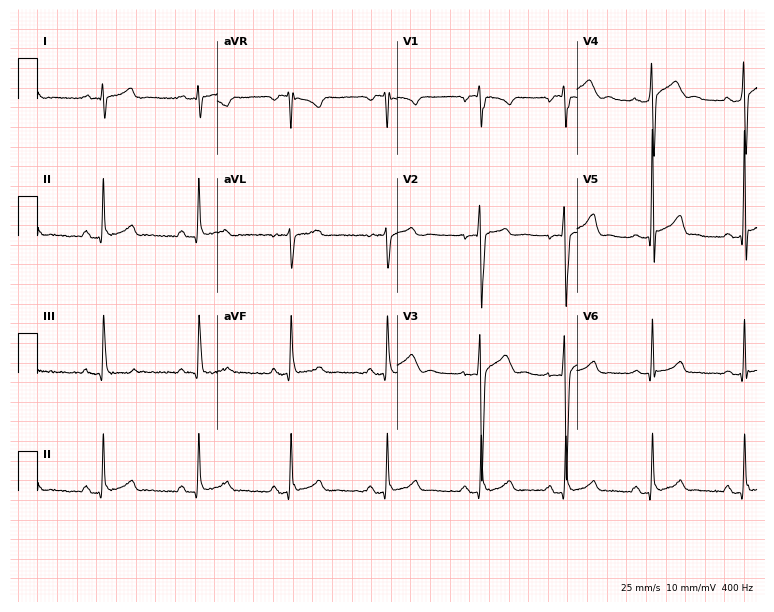
Electrocardiogram (7.3-second recording at 400 Hz), a male, 19 years old. Of the six screened findings (first-degree AV block, right bundle branch block, left bundle branch block, sinus bradycardia, atrial fibrillation, sinus tachycardia), none is recorded.